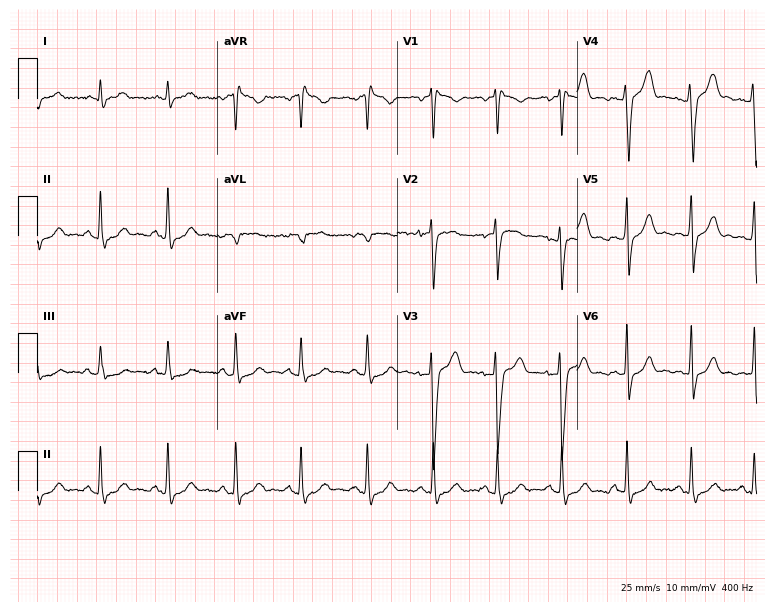
Resting 12-lead electrocardiogram. Patient: a 25-year-old man. Read as a normal ECG.